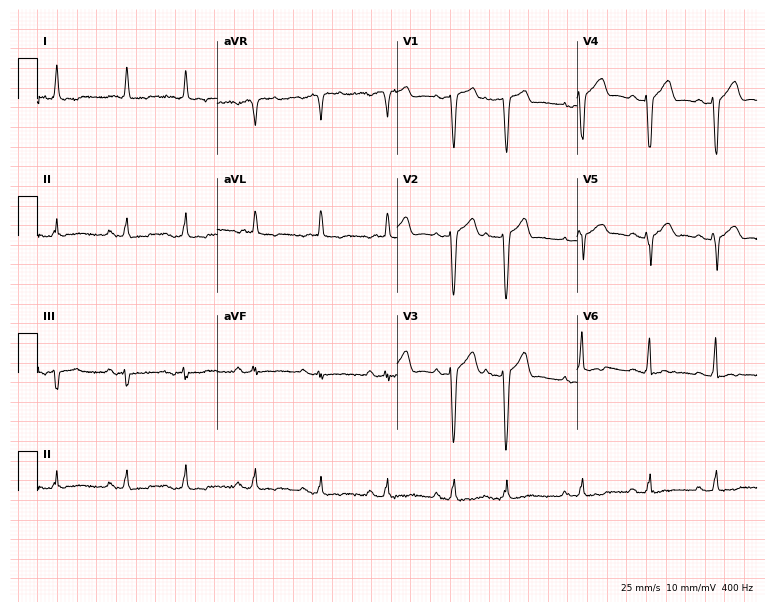
Standard 12-lead ECG recorded from a male, 77 years old (7.3-second recording at 400 Hz). Read as a normal ECG.